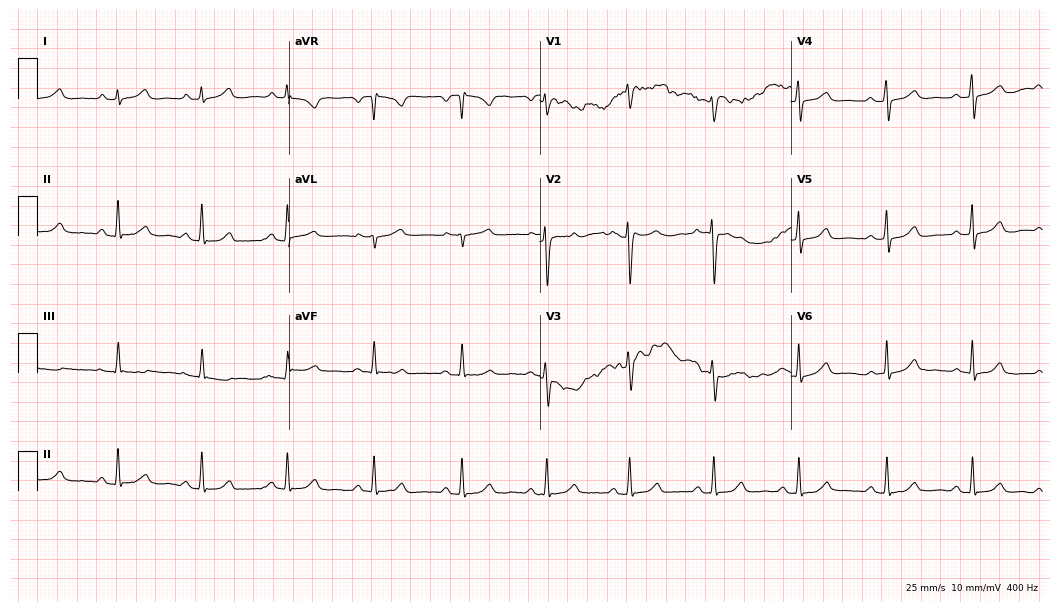
ECG (10.2-second recording at 400 Hz) — a 42-year-old female patient. Labelled as a normal ECG.